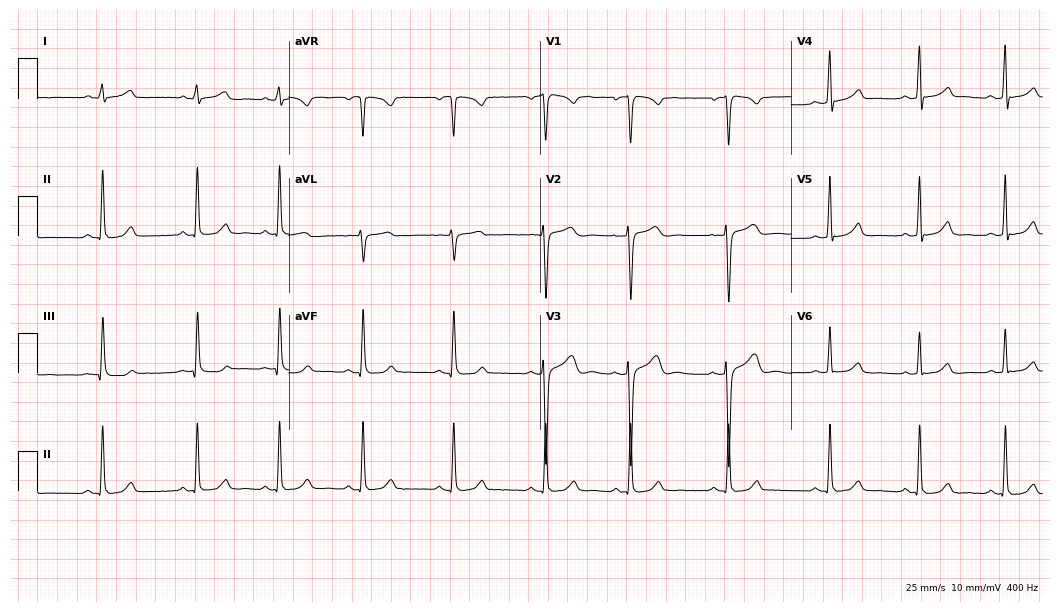
Standard 12-lead ECG recorded from a female, 25 years old. Read as a normal ECG.